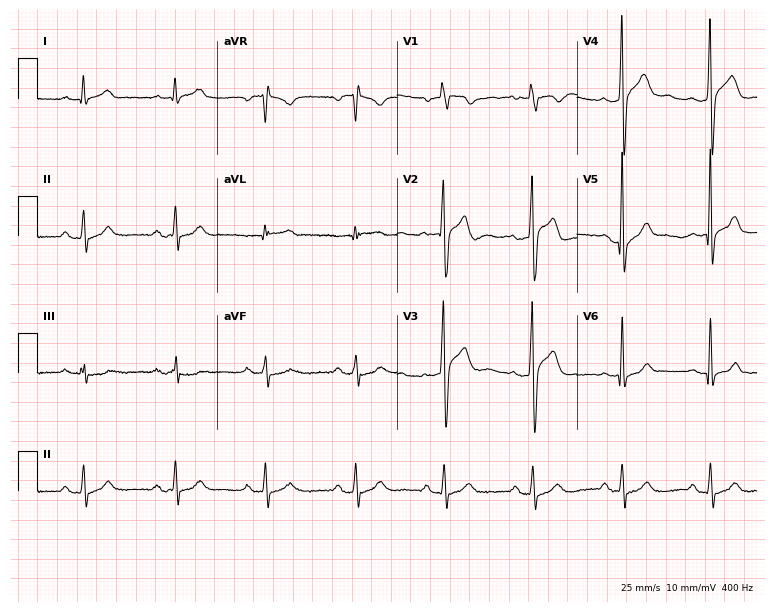
ECG — a man, 48 years old. Findings include first-degree AV block.